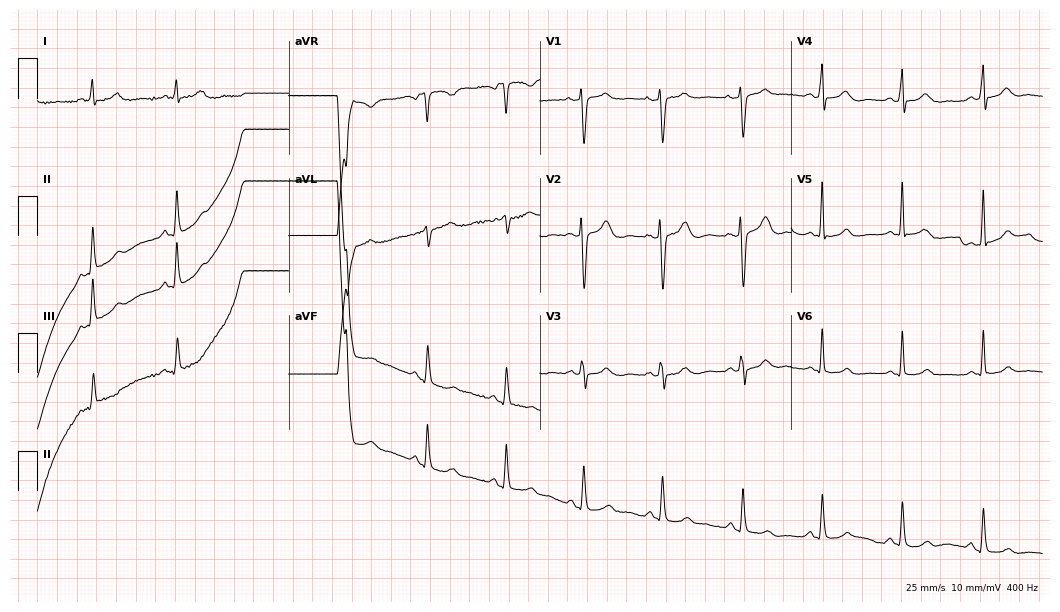
12-lead ECG (10.2-second recording at 400 Hz) from a 46-year-old woman. Labelled as a normal ECG.